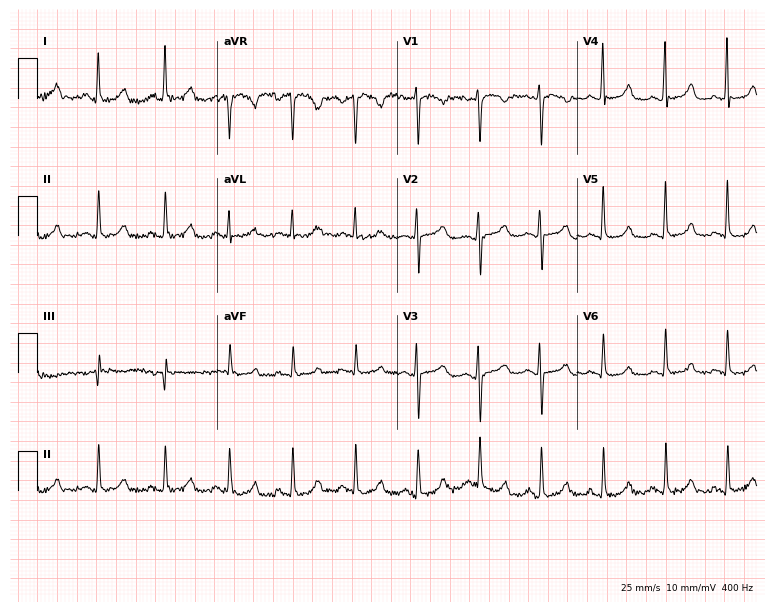
ECG — a woman, 39 years old. Screened for six findings — first-degree AV block, right bundle branch block (RBBB), left bundle branch block (LBBB), sinus bradycardia, atrial fibrillation (AF), sinus tachycardia — none is recorded.